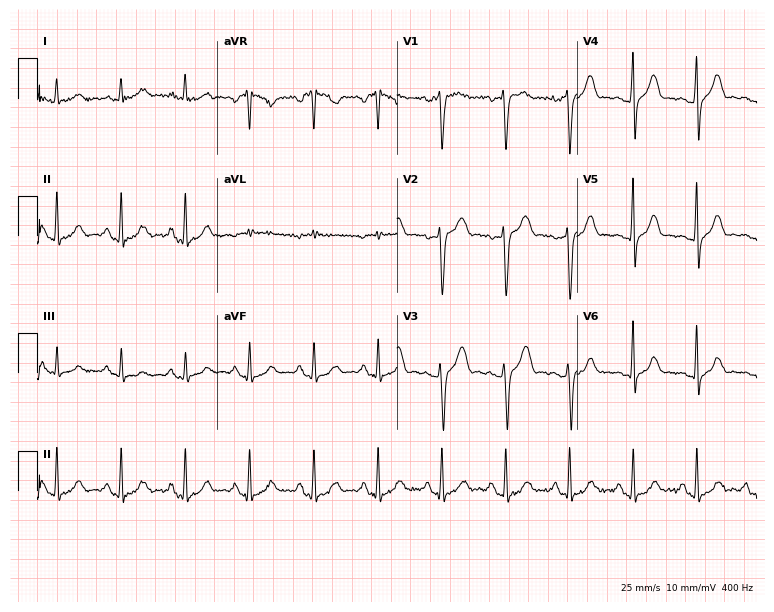
12-lead ECG from a 48-year-old man (7.3-second recording at 400 Hz). Recorded interpretation: within normal limits.